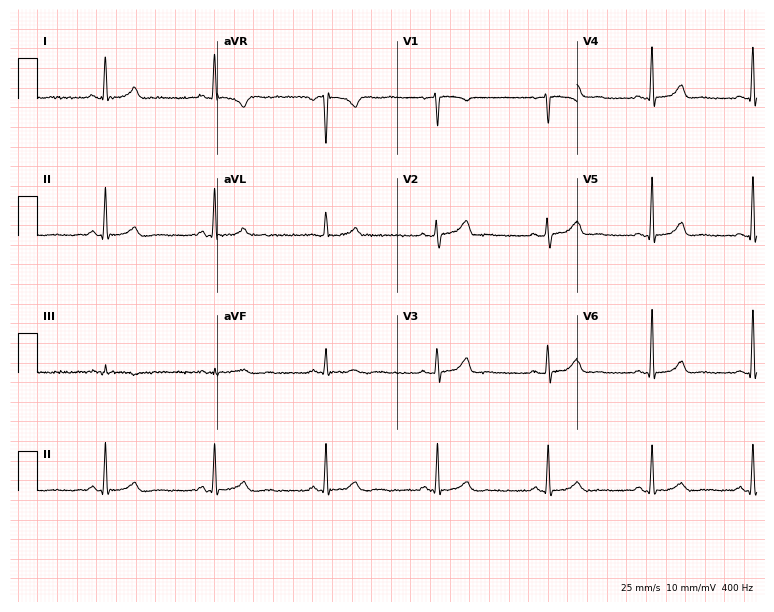
Resting 12-lead electrocardiogram (7.3-second recording at 400 Hz). Patient: a 47-year-old female. None of these six findings is recorded: first-degree AV block, right bundle branch block (RBBB), left bundle branch block (LBBB), sinus bradycardia, atrial fibrillation (AF), sinus tachycardia.